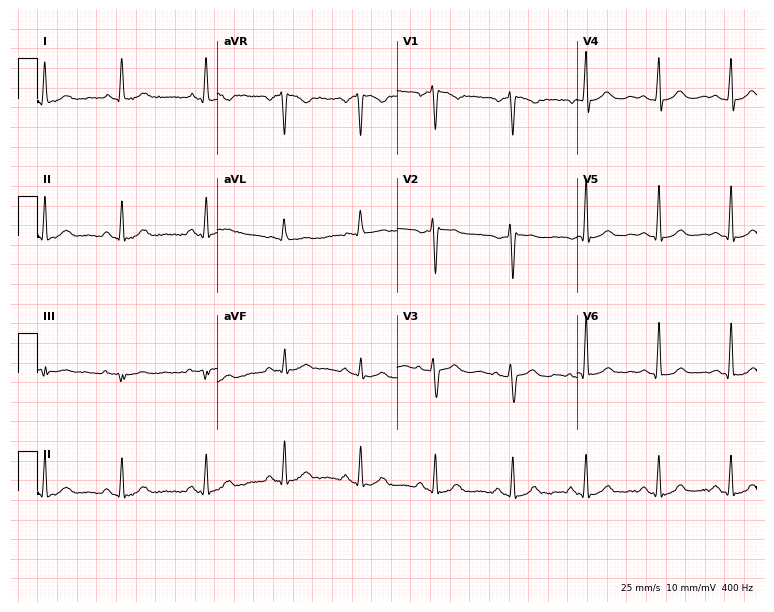
Resting 12-lead electrocardiogram. Patient: a 59-year-old female. None of these six findings is recorded: first-degree AV block, right bundle branch block, left bundle branch block, sinus bradycardia, atrial fibrillation, sinus tachycardia.